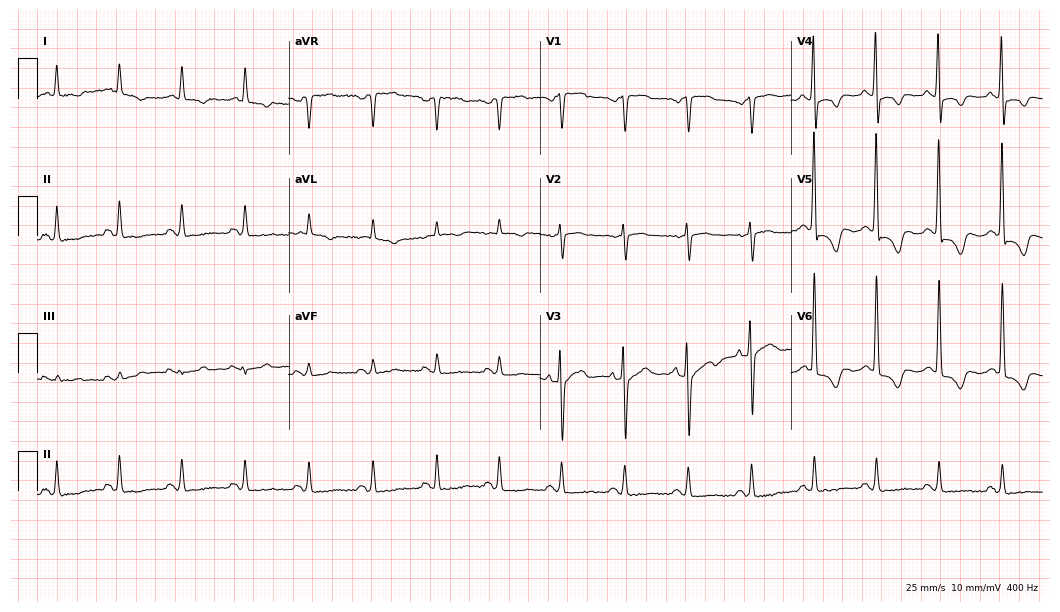
Electrocardiogram, a 79-year-old male patient. Of the six screened findings (first-degree AV block, right bundle branch block (RBBB), left bundle branch block (LBBB), sinus bradycardia, atrial fibrillation (AF), sinus tachycardia), none is recorded.